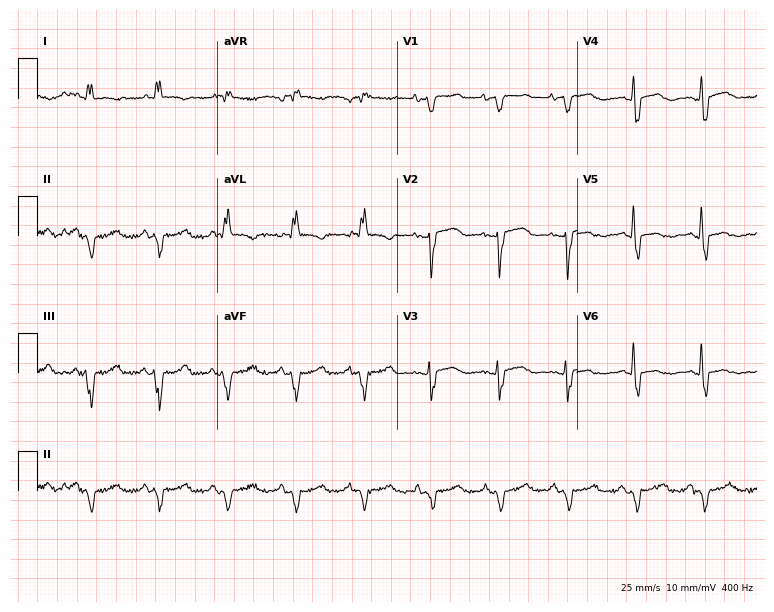
Electrocardiogram, a female, 46 years old. Of the six screened findings (first-degree AV block, right bundle branch block (RBBB), left bundle branch block (LBBB), sinus bradycardia, atrial fibrillation (AF), sinus tachycardia), none is recorded. Only these six findings were labelled.